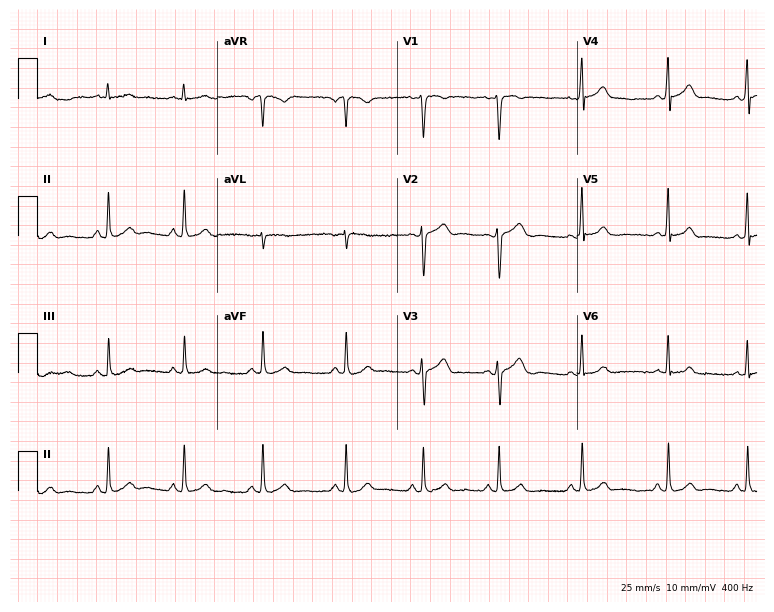
12-lead ECG (7.3-second recording at 400 Hz) from a female patient, 29 years old. Screened for six findings — first-degree AV block, right bundle branch block, left bundle branch block, sinus bradycardia, atrial fibrillation, sinus tachycardia — none is recorded.